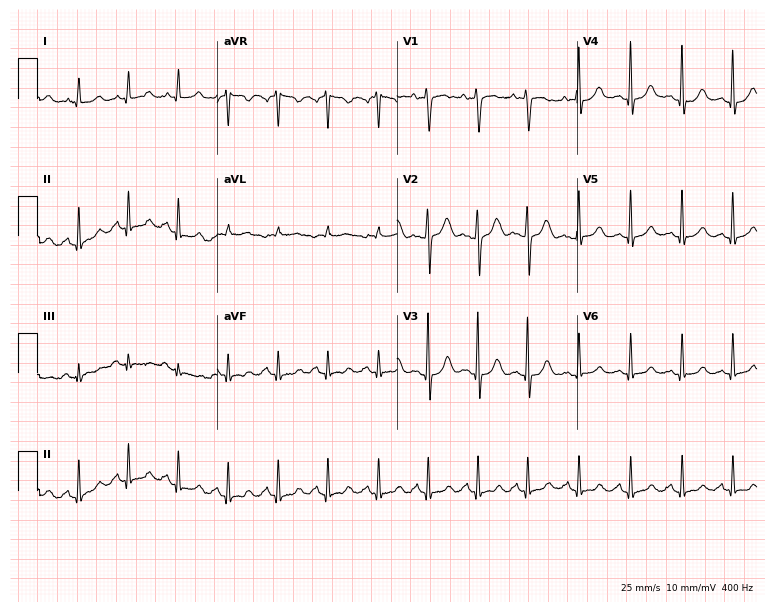
Standard 12-lead ECG recorded from a 20-year-old female (7.3-second recording at 400 Hz). The tracing shows sinus tachycardia (a sinus rate of 100 beats per minute or more).